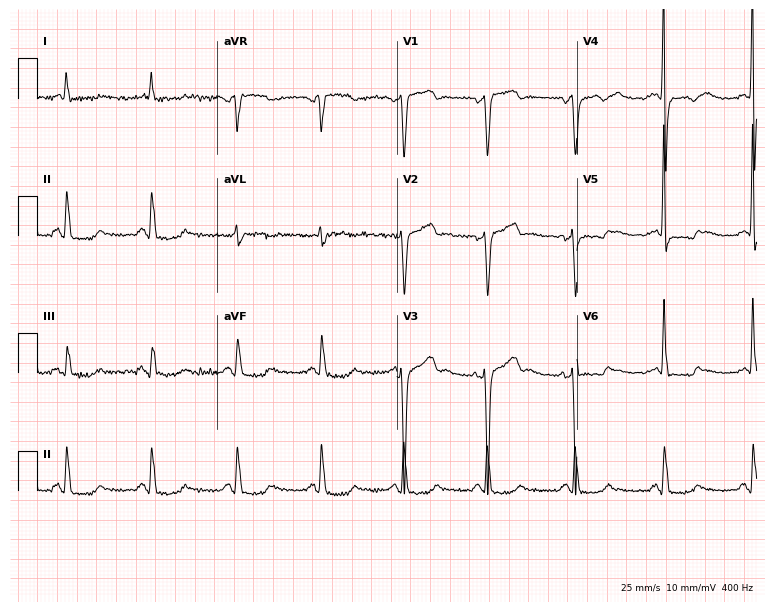
Resting 12-lead electrocardiogram. Patient: a 61-year-old female. None of these six findings is recorded: first-degree AV block, right bundle branch block, left bundle branch block, sinus bradycardia, atrial fibrillation, sinus tachycardia.